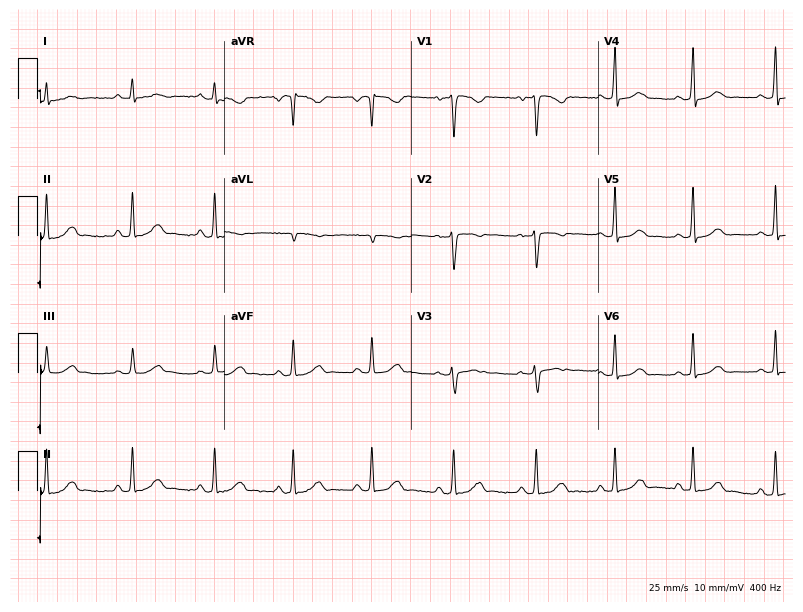
12-lead ECG from a female patient, 39 years old. Recorded interpretation: within normal limits.